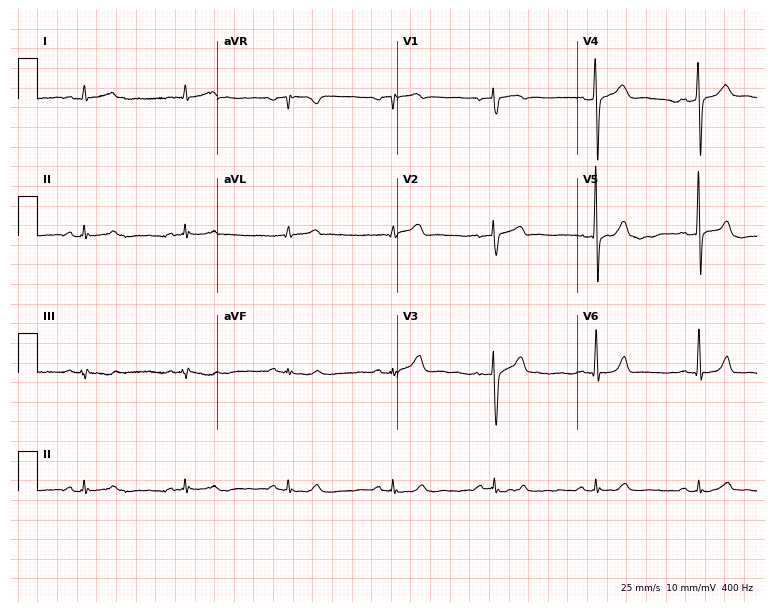
Electrocardiogram (7.3-second recording at 400 Hz), a 41-year-old man. Overall reading on record: normal ECG.